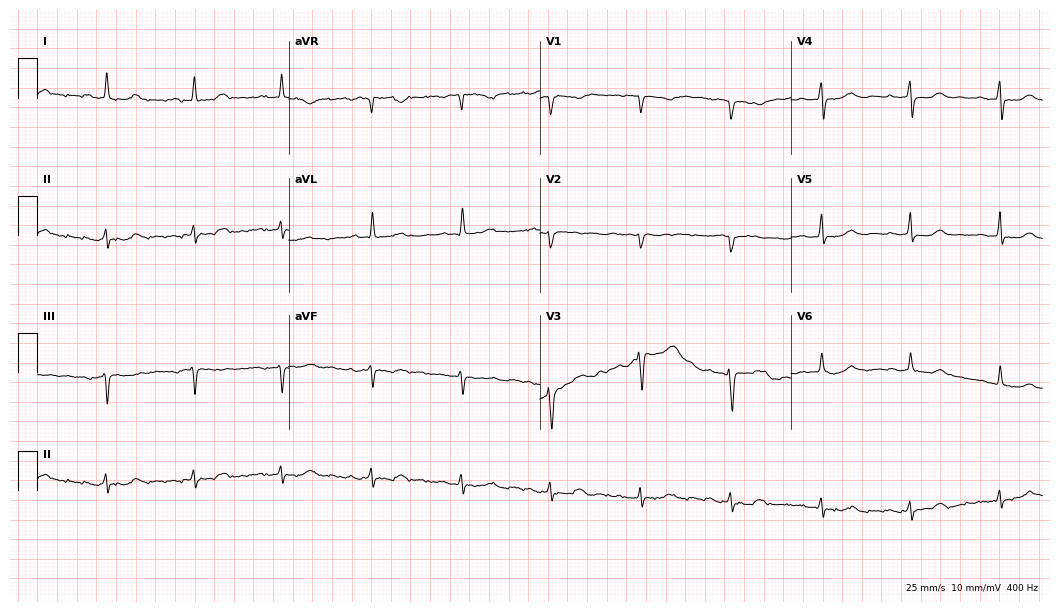
Resting 12-lead electrocardiogram. Patient: a female, 73 years old. None of these six findings is recorded: first-degree AV block, right bundle branch block, left bundle branch block, sinus bradycardia, atrial fibrillation, sinus tachycardia. Other findings, if any, are not listed.